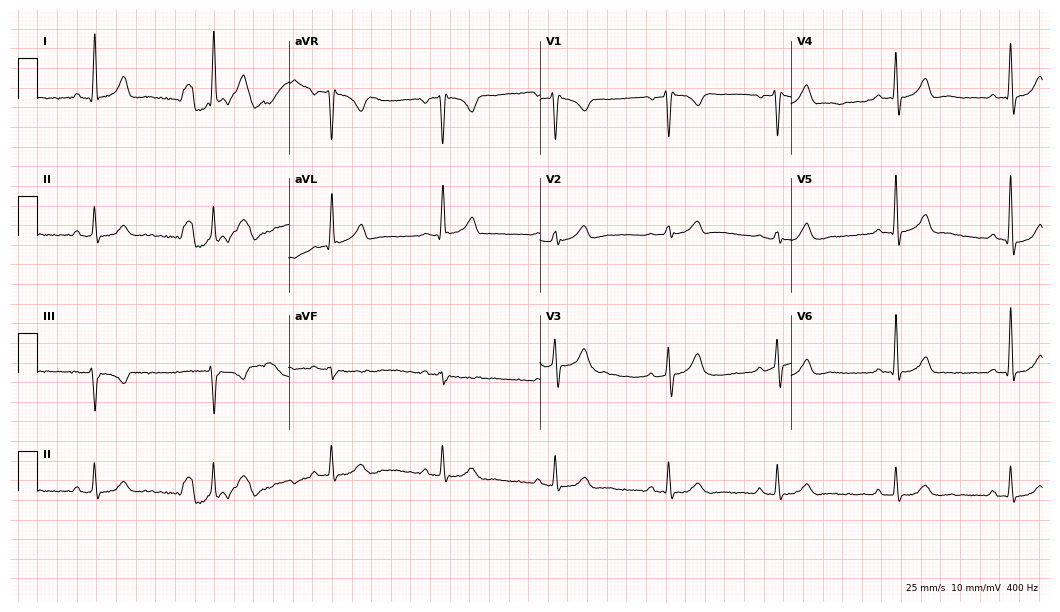
ECG — a 51-year-old man. Screened for six findings — first-degree AV block, right bundle branch block, left bundle branch block, sinus bradycardia, atrial fibrillation, sinus tachycardia — none is recorded. Only these six findings were labelled.